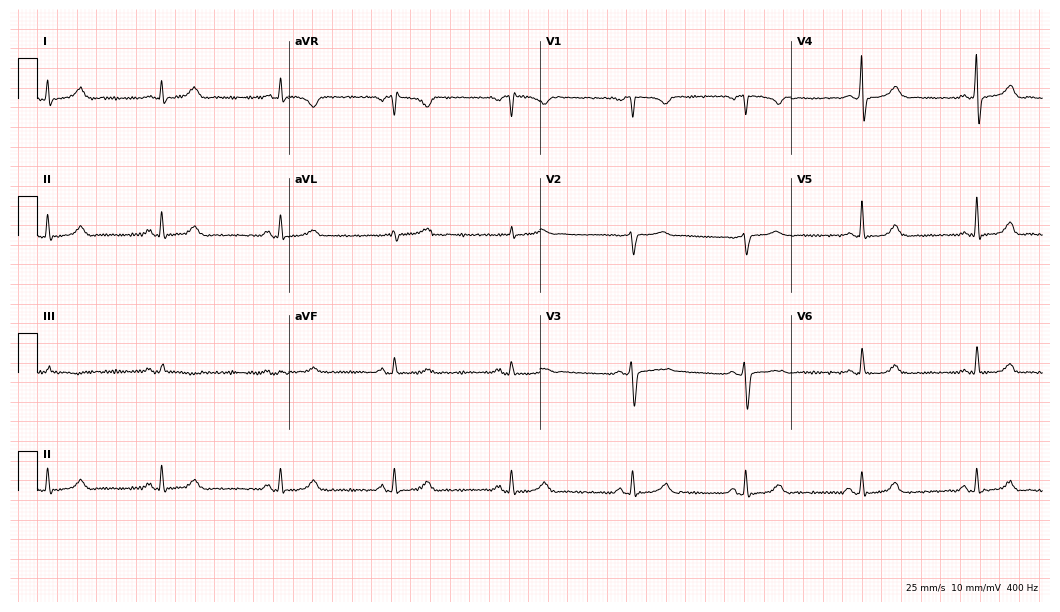
Electrocardiogram, a woman, 50 years old. Of the six screened findings (first-degree AV block, right bundle branch block, left bundle branch block, sinus bradycardia, atrial fibrillation, sinus tachycardia), none is recorded.